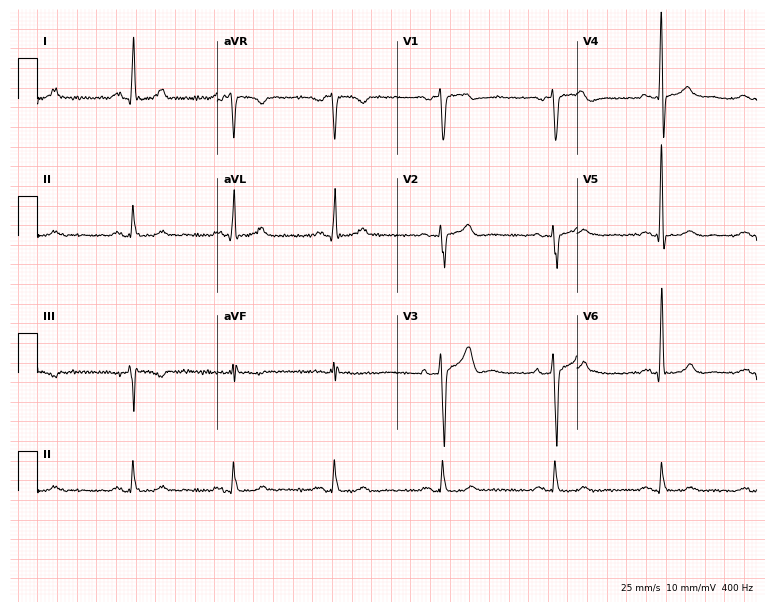
Electrocardiogram, a 42-year-old male. Overall reading on record: normal ECG.